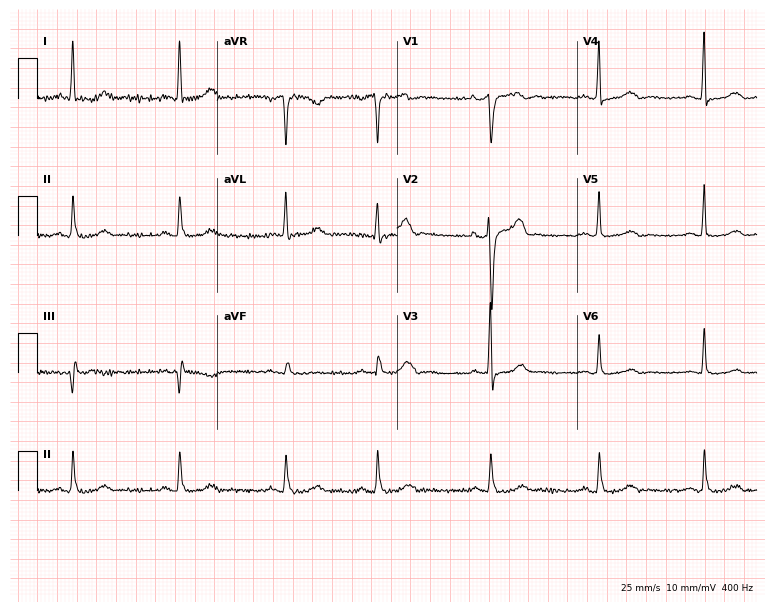
ECG — a man, 75 years old. Labelled as a normal ECG.